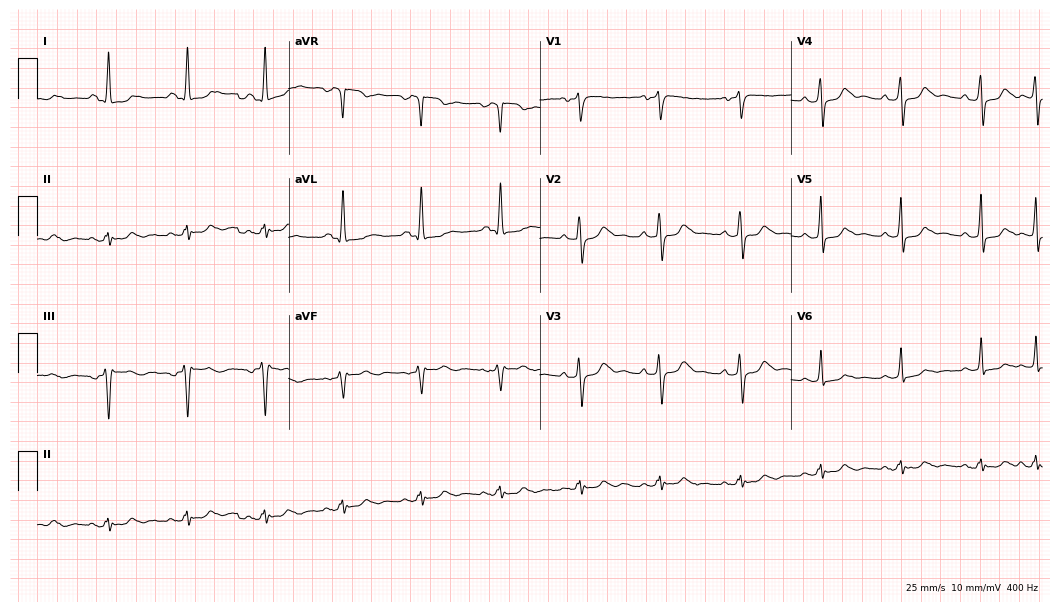
Resting 12-lead electrocardiogram. Patient: a woman, 76 years old. None of these six findings is recorded: first-degree AV block, right bundle branch block (RBBB), left bundle branch block (LBBB), sinus bradycardia, atrial fibrillation (AF), sinus tachycardia. Only these six findings were labelled.